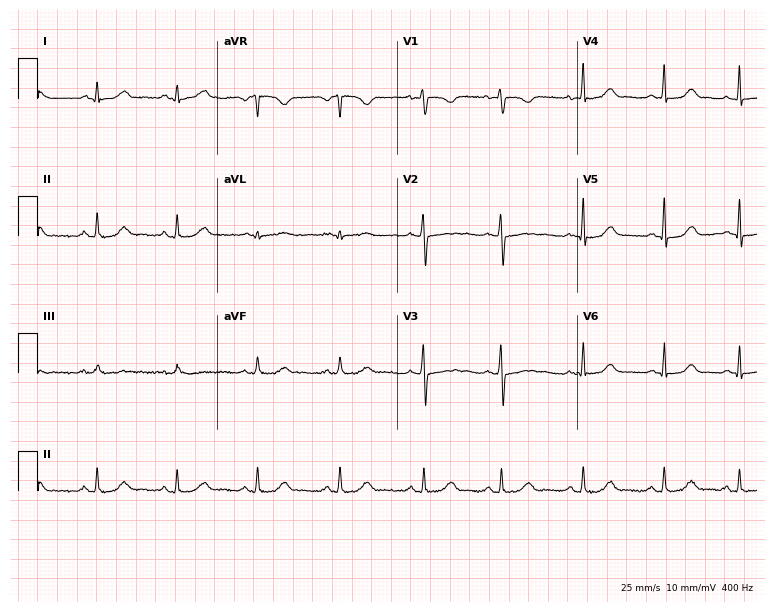
12-lead ECG from a female, 30 years old (7.3-second recording at 400 Hz). Recorded interpretation: within normal limits.